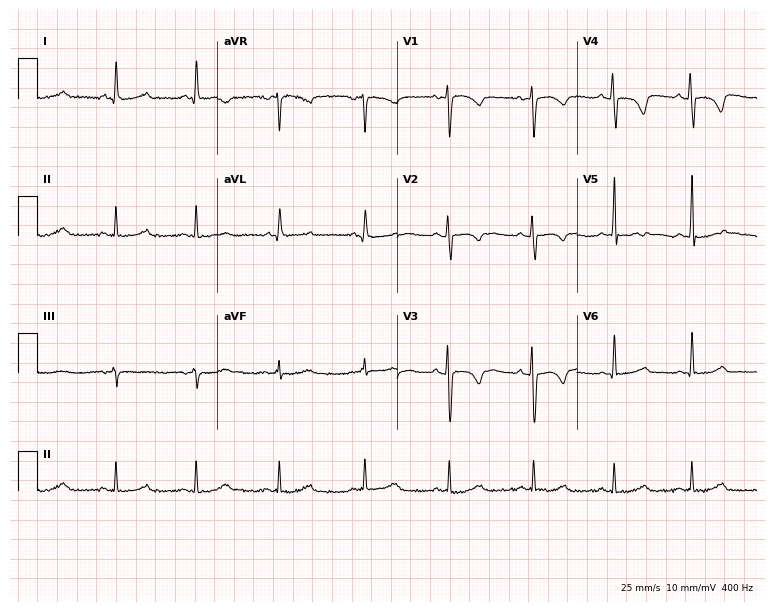
Standard 12-lead ECG recorded from a female, 43 years old (7.3-second recording at 400 Hz). Read as a normal ECG.